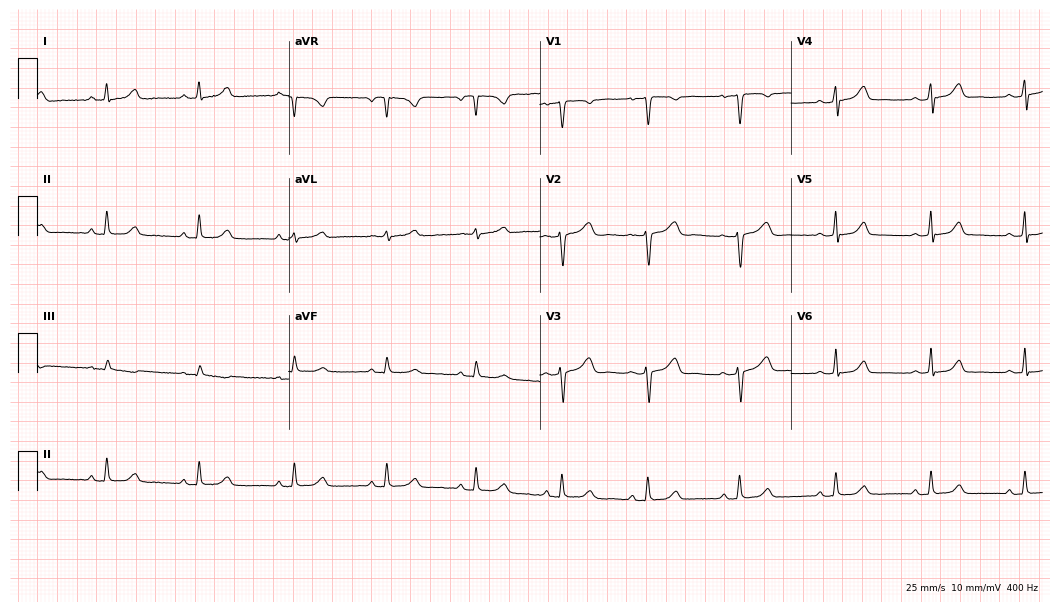
12-lead ECG from a female patient, 34 years old. Labelled as a normal ECG.